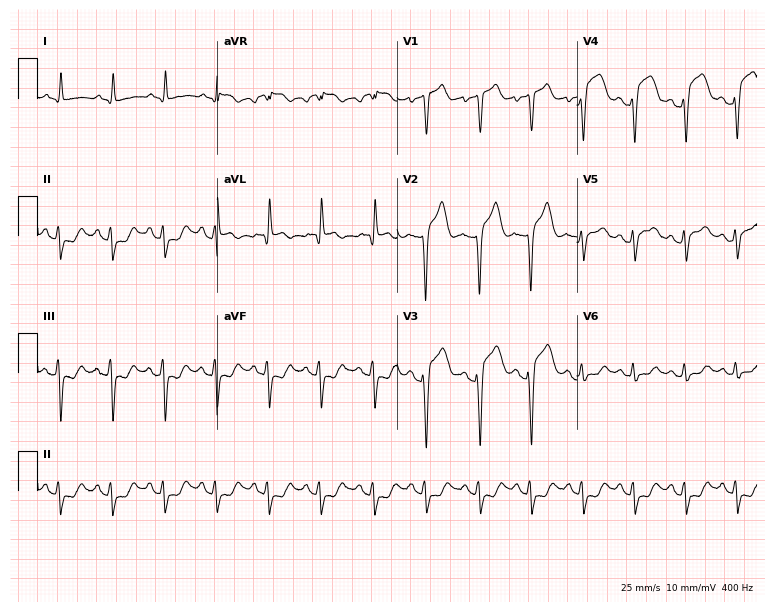
Resting 12-lead electrocardiogram (7.3-second recording at 400 Hz). Patient: a 61-year-old woman. The tracing shows sinus tachycardia (a sinus rate of 100 beats per minute or more).